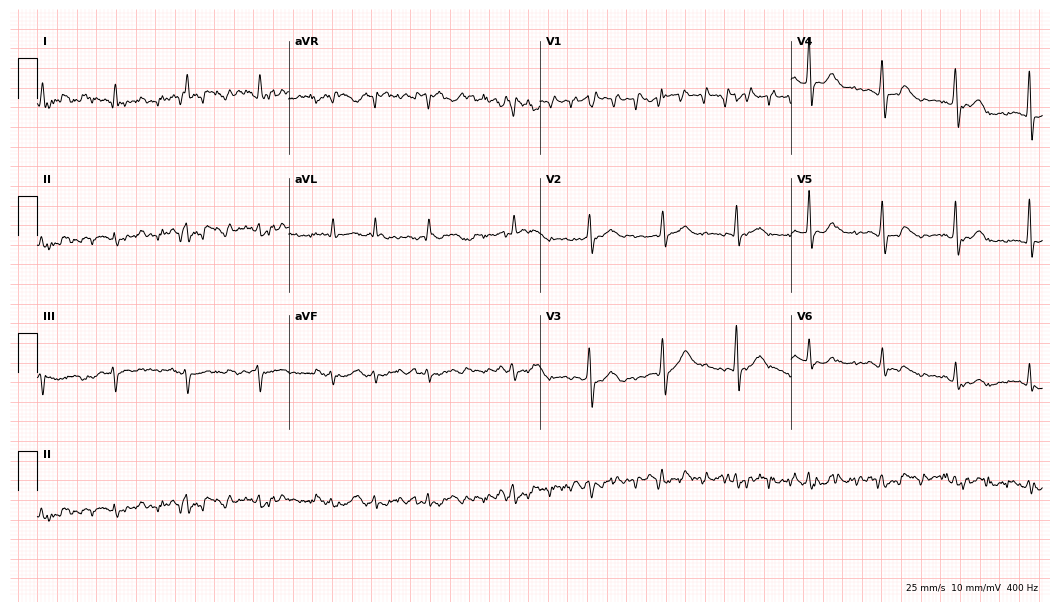
Electrocardiogram (10.2-second recording at 400 Hz), a male patient, 80 years old. Overall reading on record: normal ECG.